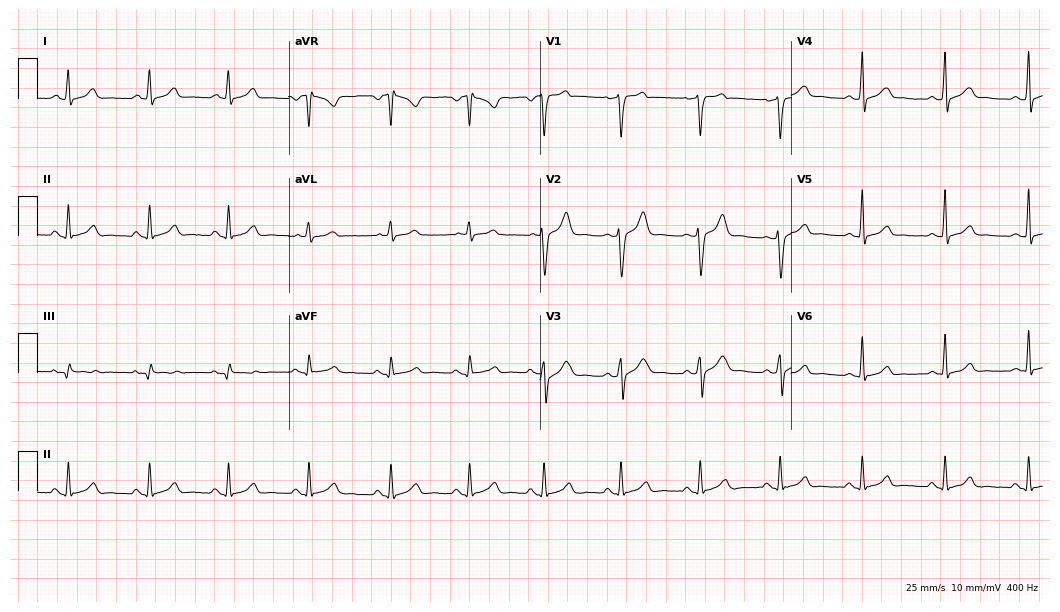
Resting 12-lead electrocardiogram (10.2-second recording at 400 Hz). Patient: a 20-year-old male. Read as a normal ECG.